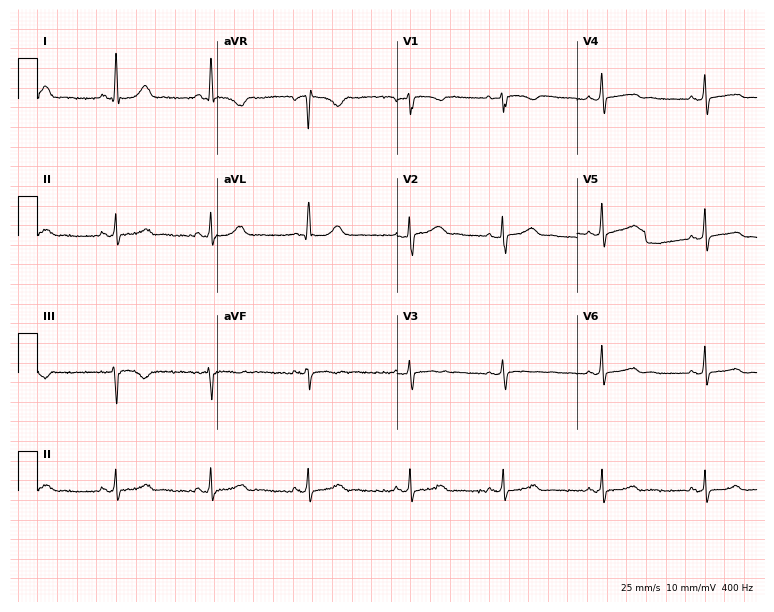
12-lead ECG (7.3-second recording at 400 Hz) from a female patient, 50 years old. Screened for six findings — first-degree AV block, right bundle branch block, left bundle branch block, sinus bradycardia, atrial fibrillation, sinus tachycardia — none is recorded. Other findings, if any, are not listed.